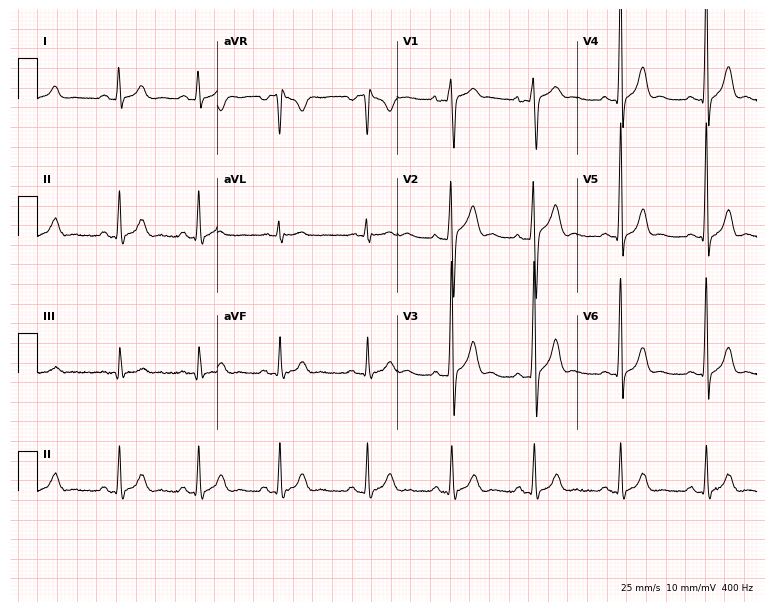
ECG — a 17-year-old male patient. Labelled as a normal ECG.